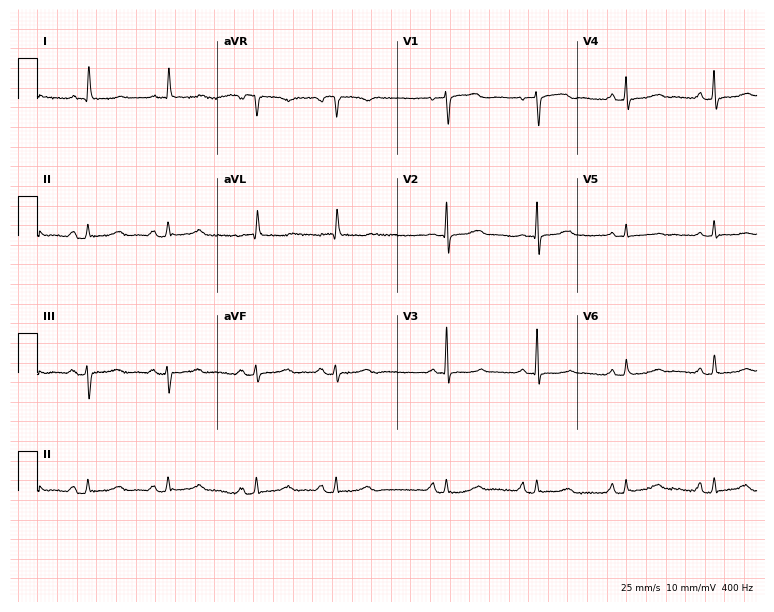
Standard 12-lead ECG recorded from a female patient, 75 years old. None of these six findings is recorded: first-degree AV block, right bundle branch block (RBBB), left bundle branch block (LBBB), sinus bradycardia, atrial fibrillation (AF), sinus tachycardia. Only these six findings were labelled.